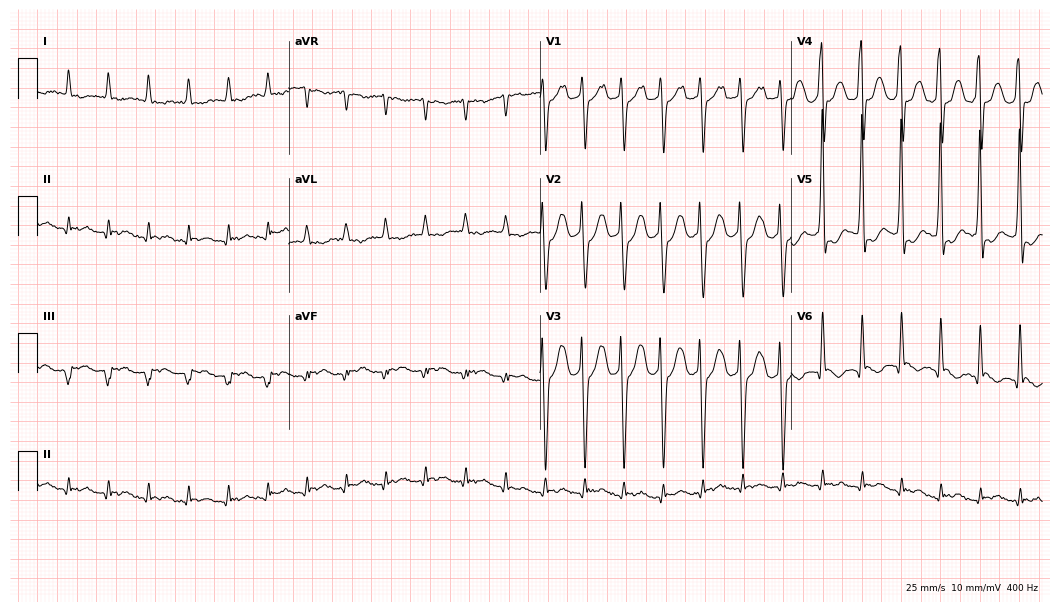
12-lead ECG from a woman, 81 years old (10.2-second recording at 400 Hz). No first-degree AV block, right bundle branch block, left bundle branch block, sinus bradycardia, atrial fibrillation or sinus tachycardia recorded for this tracing.